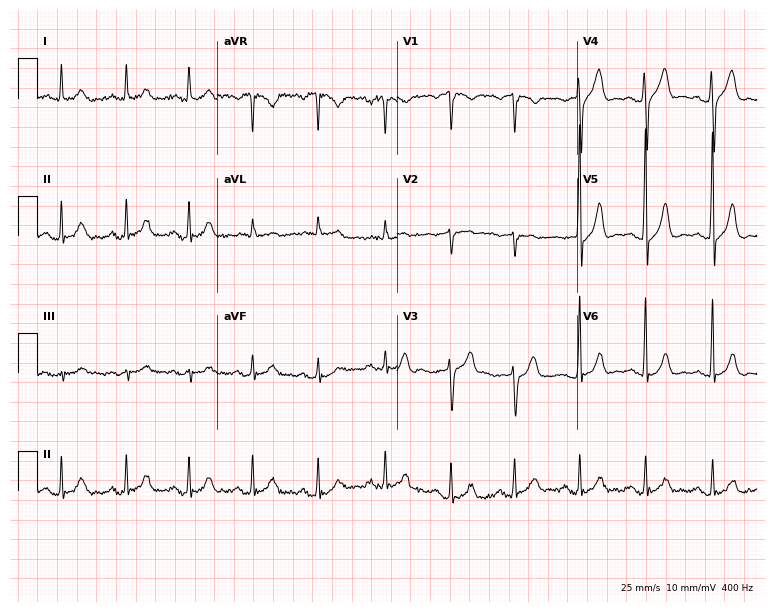
ECG — a 42-year-old male. Labelled as a normal ECG.